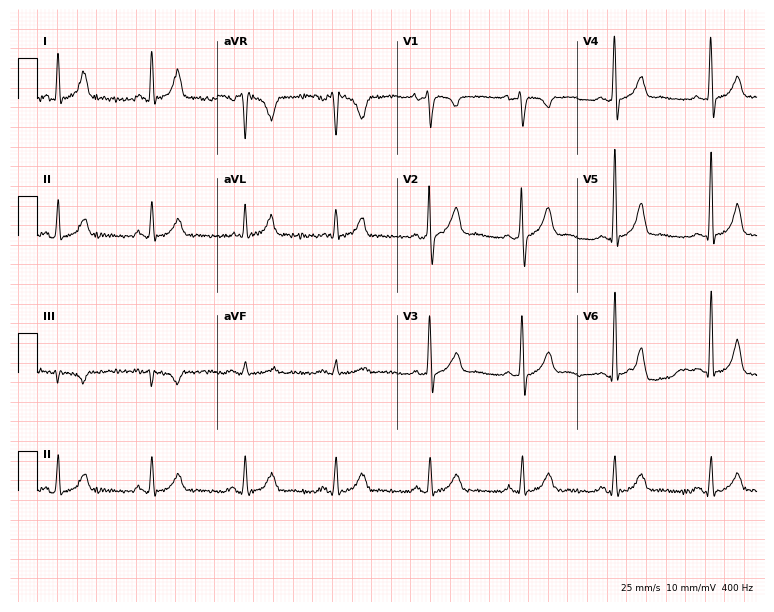
Electrocardiogram, a man, 63 years old. Of the six screened findings (first-degree AV block, right bundle branch block, left bundle branch block, sinus bradycardia, atrial fibrillation, sinus tachycardia), none is recorded.